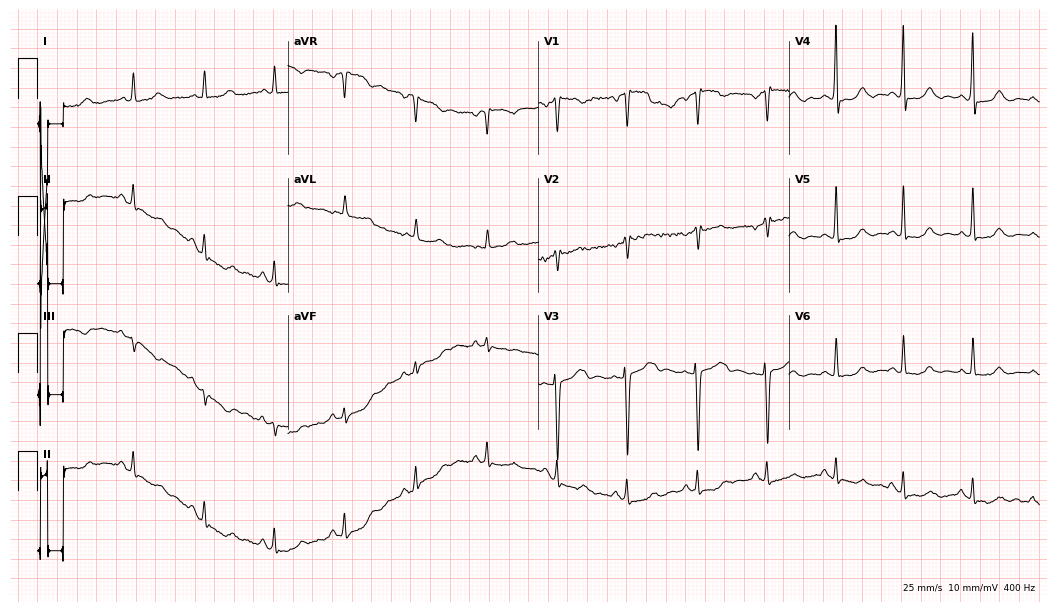
Standard 12-lead ECG recorded from a 52-year-old female. None of these six findings is recorded: first-degree AV block, right bundle branch block, left bundle branch block, sinus bradycardia, atrial fibrillation, sinus tachycardia. Findings outside these six are not listed.